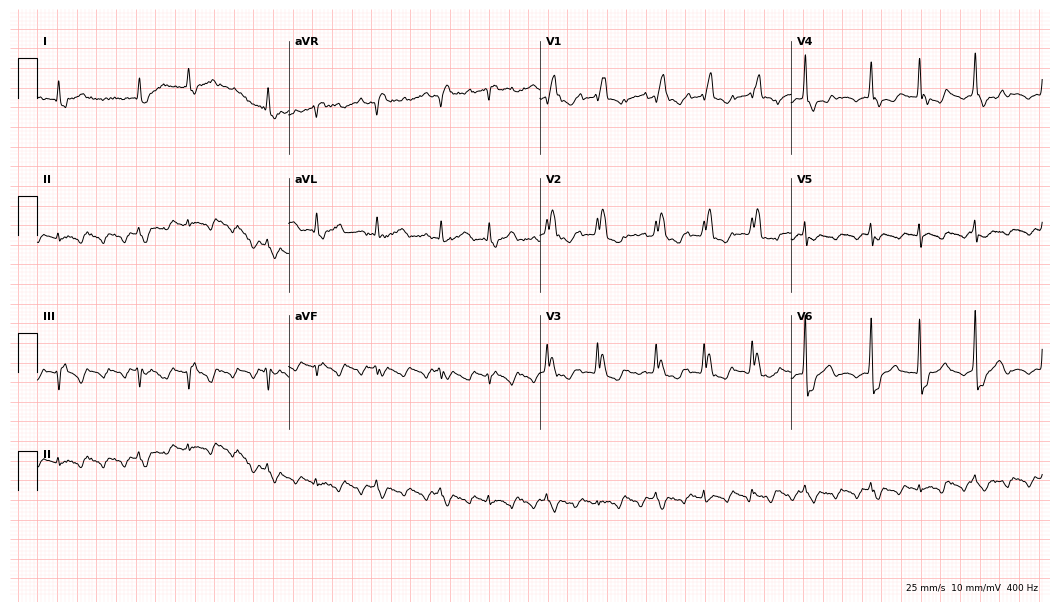
ECG — an 85-year-old male patient. Findings include right bundle branch block, atrial fibrillation.